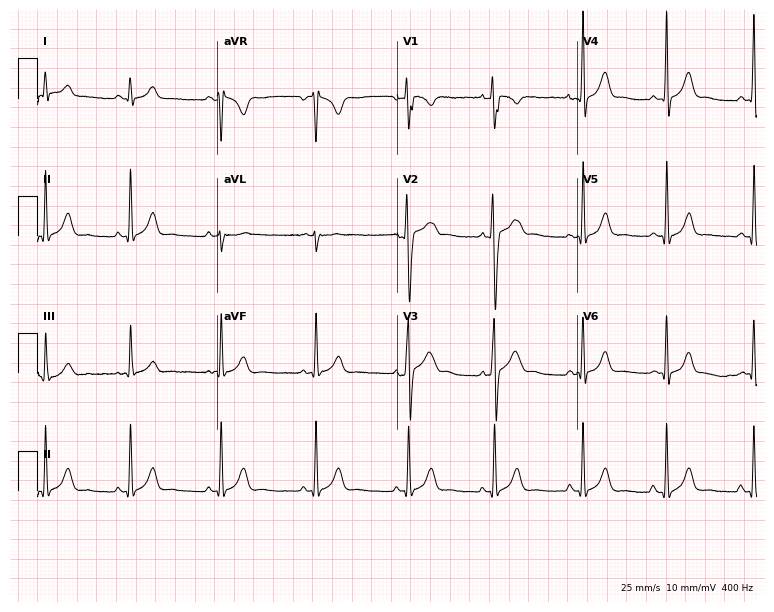
Standard 12-lead ECG recorded from an 18-year-old male patient (7.3-second recording at 400 Hz). Read as a normal ECG.